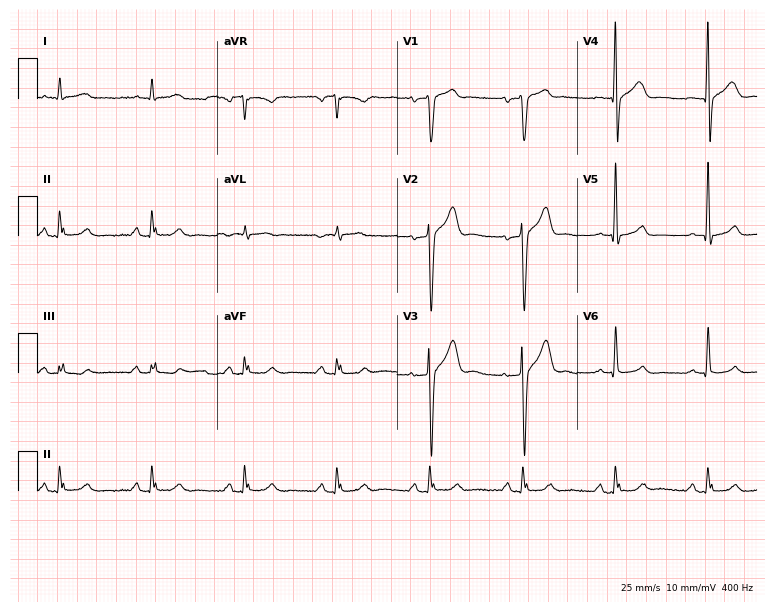
12-lead ECG from a male patient, 73 years old (7.3-second recording at 400 Hz). No first-degree AV block, right bundle branch block, left bundle branch block, sinus bradycardia, atrial fibrillation or sinus tachycardia recorded for this tracing.